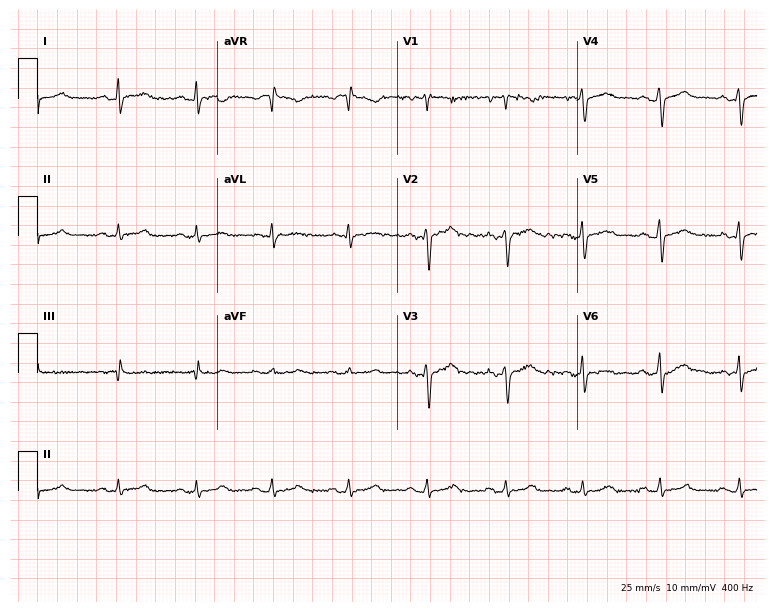
Resting 12-lead electrocardiogram. Patient: a 34-year-old man. None of these six findings is recorded: first-degree AV block, right bundle branch block (RBBB), left bundle branch block (LBBB), sinus bradycardia, atrial fibrillation (AF), sinus tachycardia.